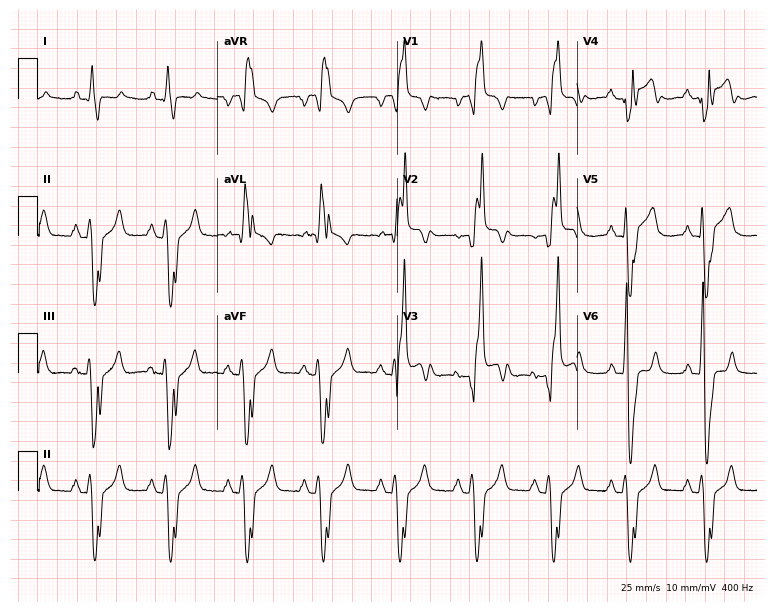
Standard 12-lead ECG recorded from a man, 42 years old. The tracing shows right bundle branch block.